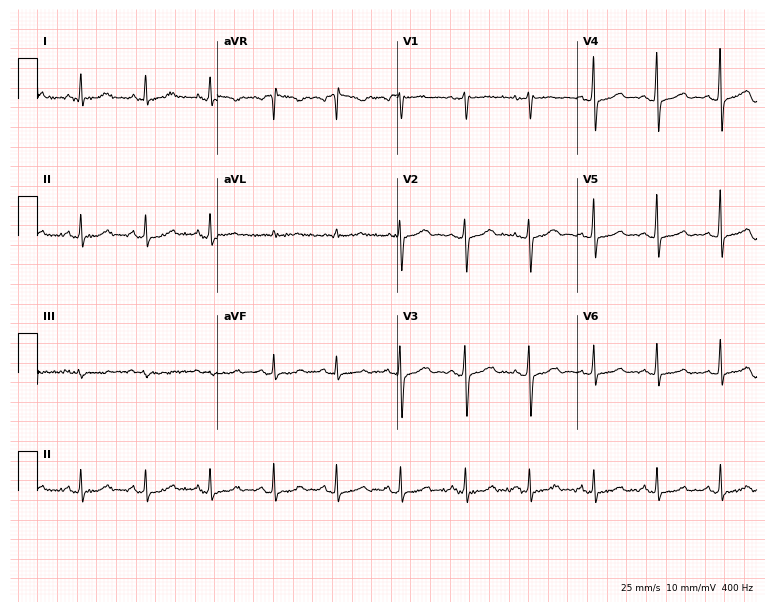
ECG — a 39-year-old woman. Labelled as a normal ECG.